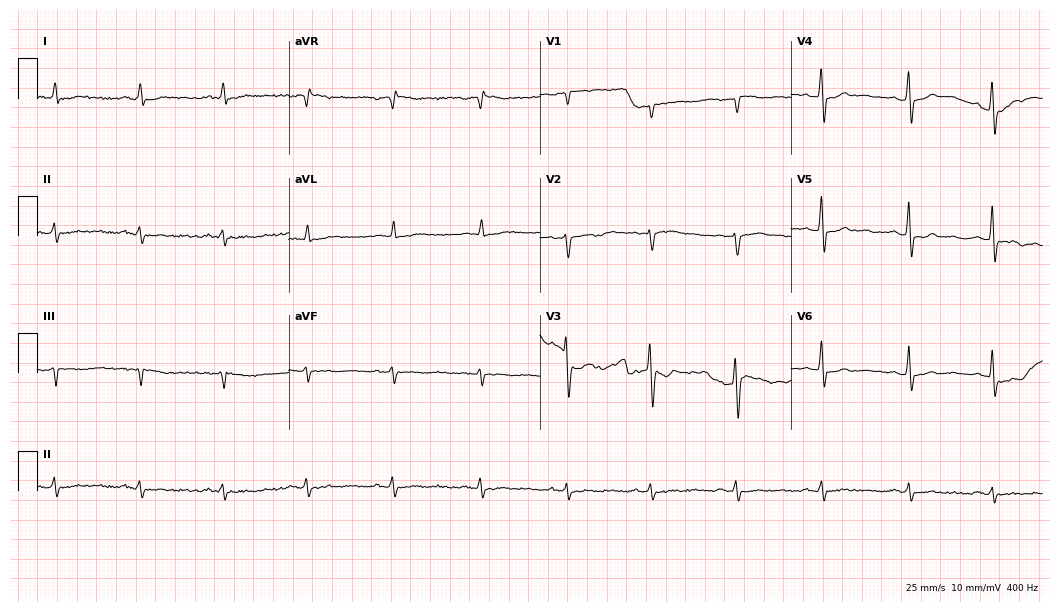
Resting 12-lead electrocardiogram. Patient: a 55-year-old male. None of these six findings is recorded: first-degree AV block, right bundle branch block, left bundle branch block, sinus bradycardia, atrial fibrillation, sinus tachycardia.